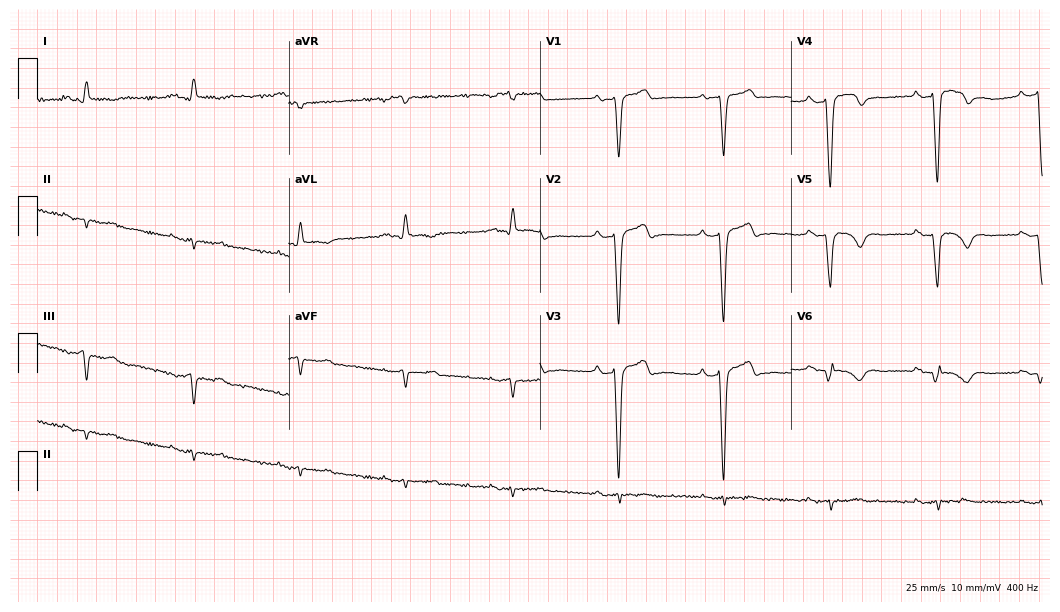
12-lead ECG from a woman, 65 years old. No first-degree AV block, right bundle branch block (RBBB), left bundle branch block (LBBB), sinus bradycardia, atrial fibrillation (AF) or sinus tachycardia recorded for this tracing.